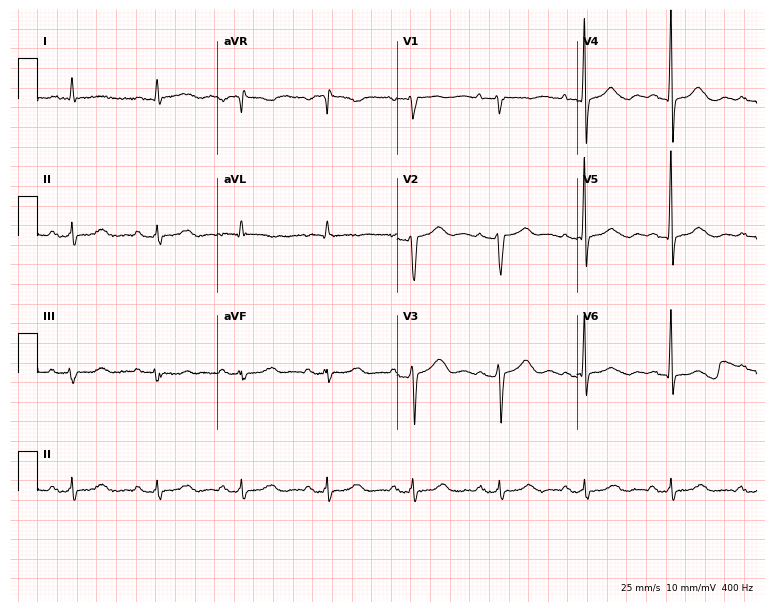
Standard 12-lead ECG recorded from a woman, 65 years old. The tracing shows first-degree AV block.